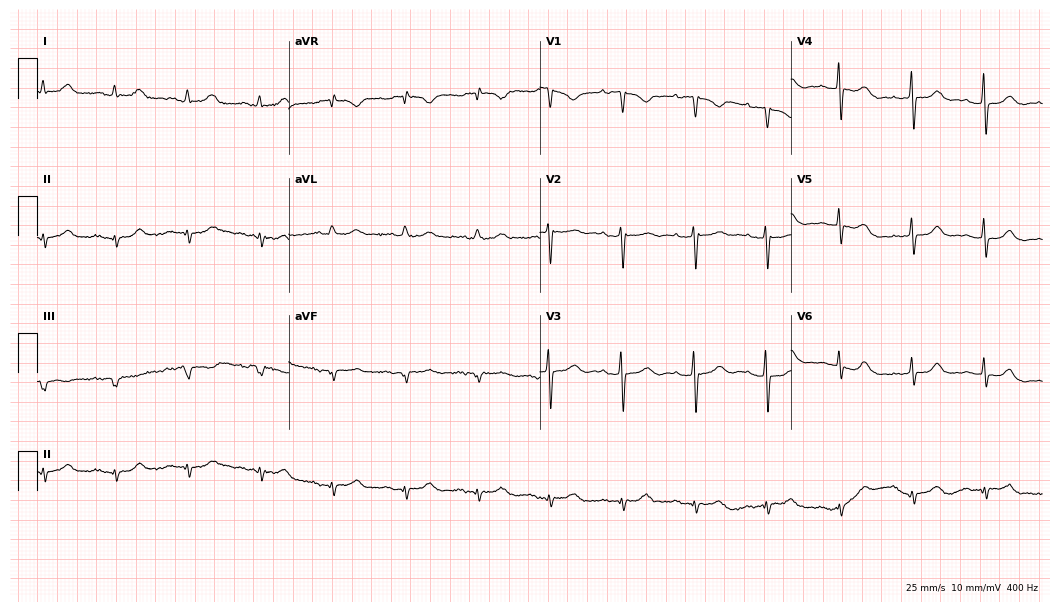
ECG (10.2-second recording at 400 Hz) — a 75-year-old female. Screened for six findings — first-degree AV block, right bundle branch block, left bundle branch block, sinus bradycardia, atrial fibrillation, sinus tachycardia — none is recorded.